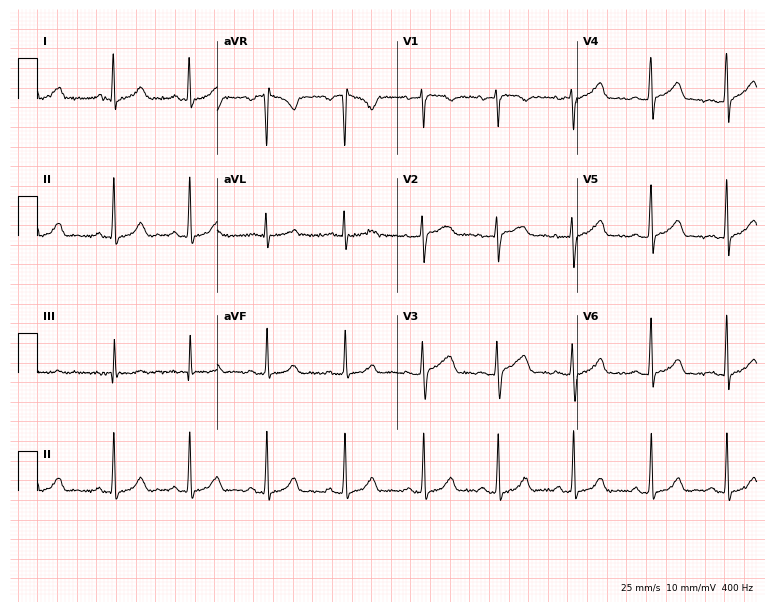
12-lead ECG (7.3-second recording at 400 Hz) from a 22-year-old female. Labelled as a normal ECG.